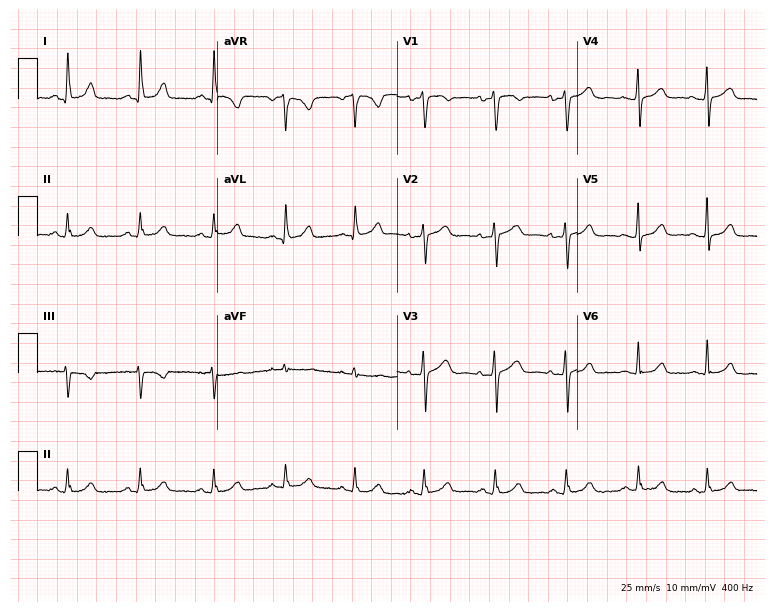
Electrocardiogram, a female, 35 years old. Of the six screened findings (first-degree AV block, right bundle branch block, left bundle branch block, sinus bradycardia, atrial fibrillation, sinus tachycardia), none is recorded. Other findings, if any, are not listed.